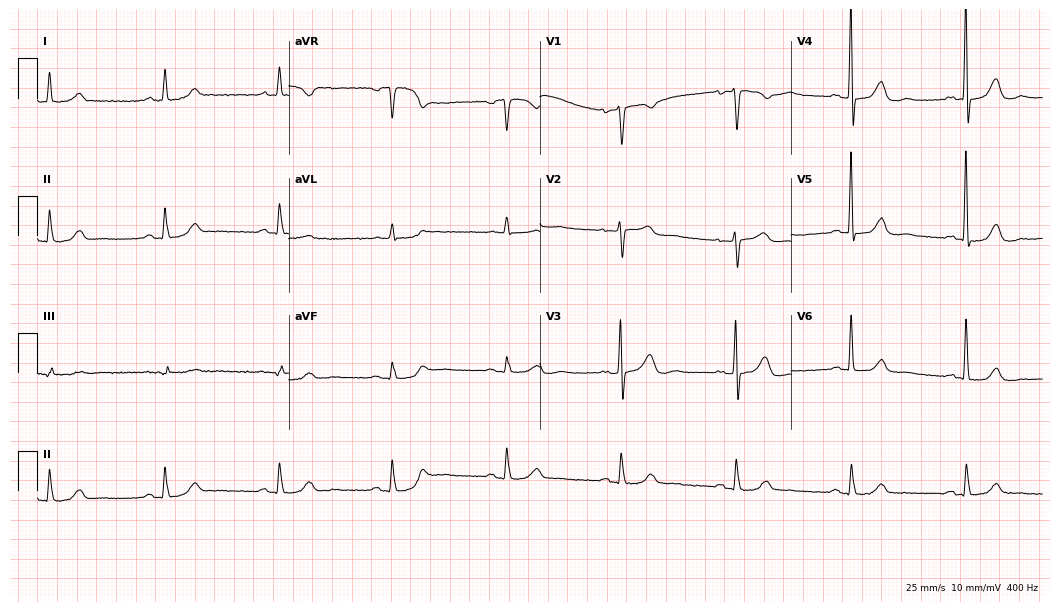
ECG (10.2-second recording at 400 Hz) — a 79-year-old female patient. Labelled as a normal ECG.